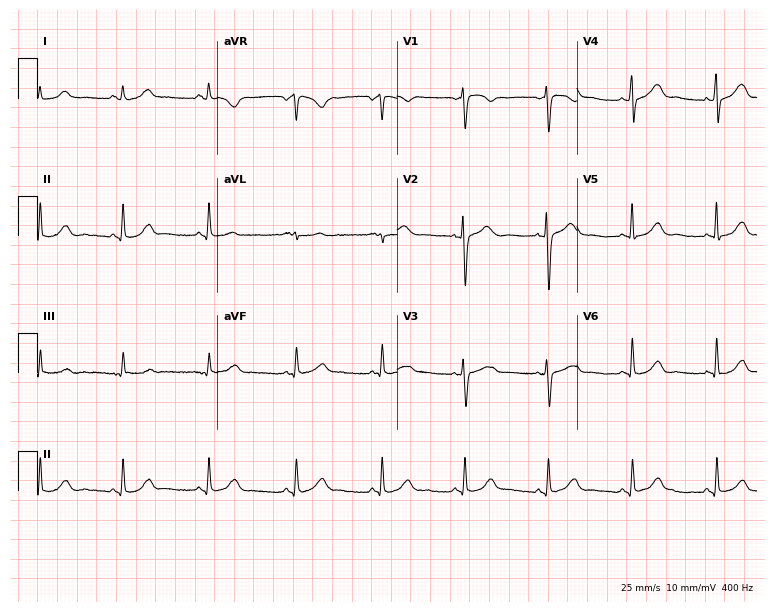
ECG — a female, 36 years old. Labelled as a normal ECG.